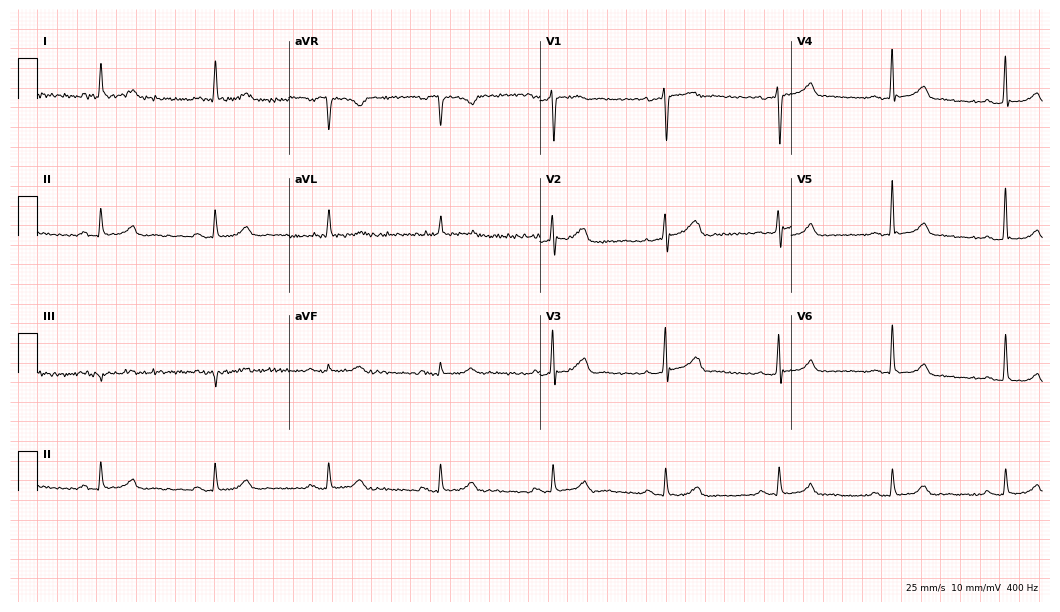
Resting 12-lead electrocardiogram. Patient: a 76-year-old male. Read as a normal ECG.